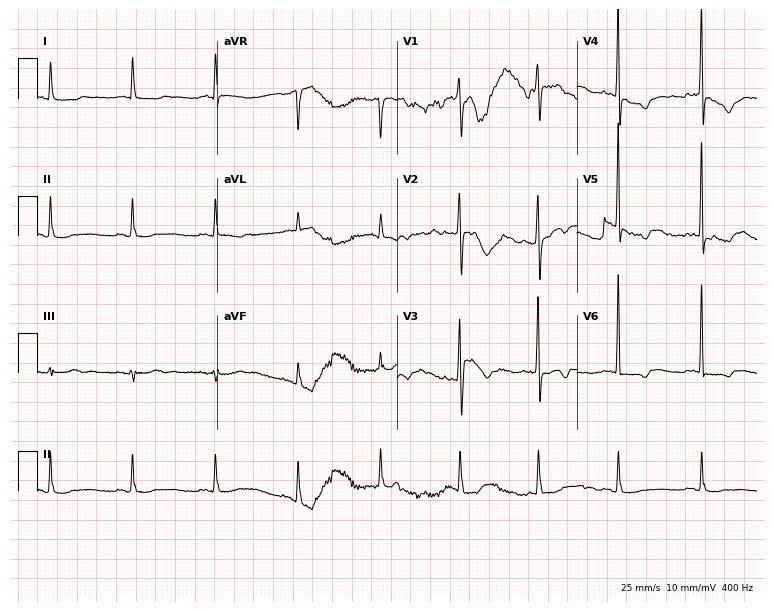
12-lead ECG from a 78-year-old woman. No first-degree AV block, right bundle branch block (RBBB), left bundle branch block (LBBB), sinus bradycardia, atrial fibrillation (AF) or sinus tachycardia recorded for this tracing. Other findings, if any, are not listed.